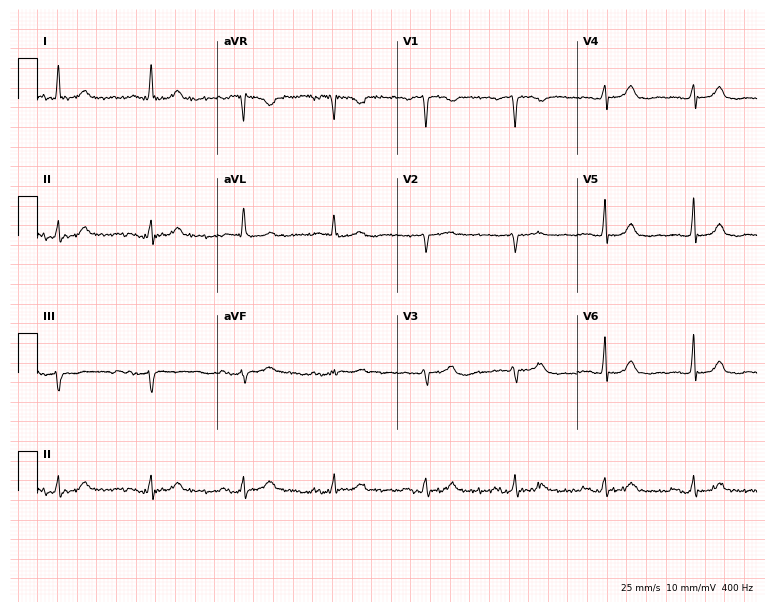
12-lead ECG from a female patient, 72 years old. Screened for six findings — first-degree AV block, right bundle branch block, left bundle branch block, sinus bradycardia, atrial fibrillation, sinus tachycardia — none is recorded.